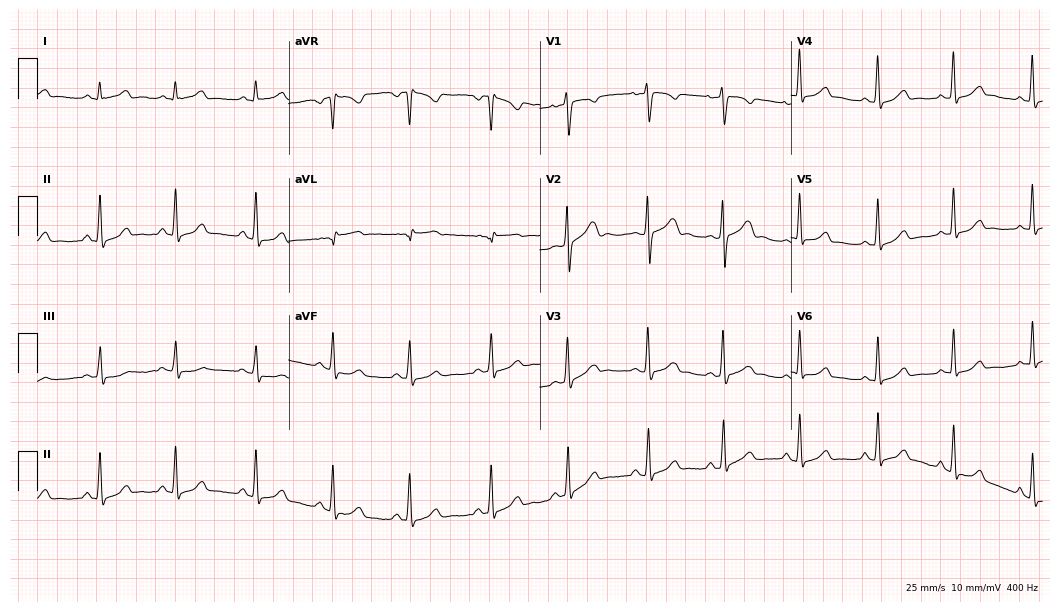
ECG — a female, 17 years old. Screened for six findings — first-degree AV block, right bundle branch block (RBBB), left bundle branch block (LBBB), sinus bradycardia, atrial fibrillation (AF), sinus tachycardia — none is recorded. Only these six findings were labelled.